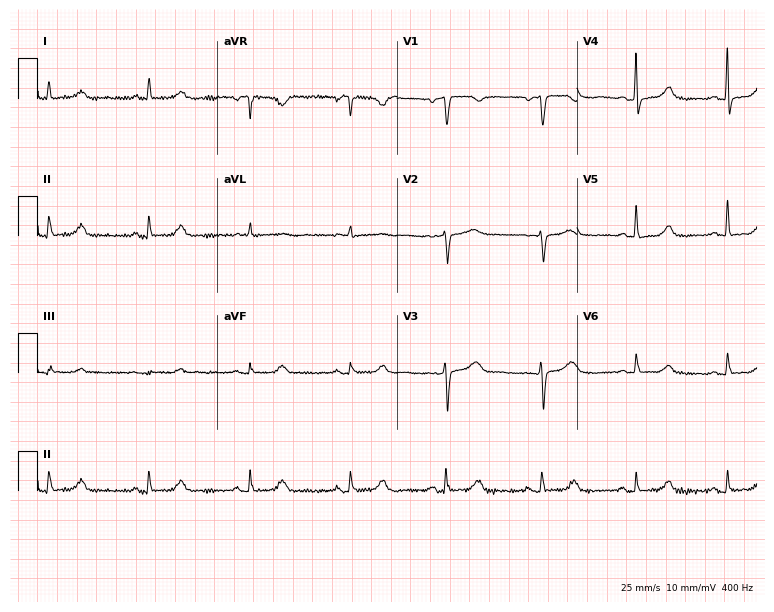
Electrocardiogram, a female, 54 years old. Of the six screened findings (first-degree AV block, right bundle branch block, left bundle branch block, sinus bradycardia, atrial fibrillation, sinus tachycardia), none is recorded. Only these six findings were labelled.